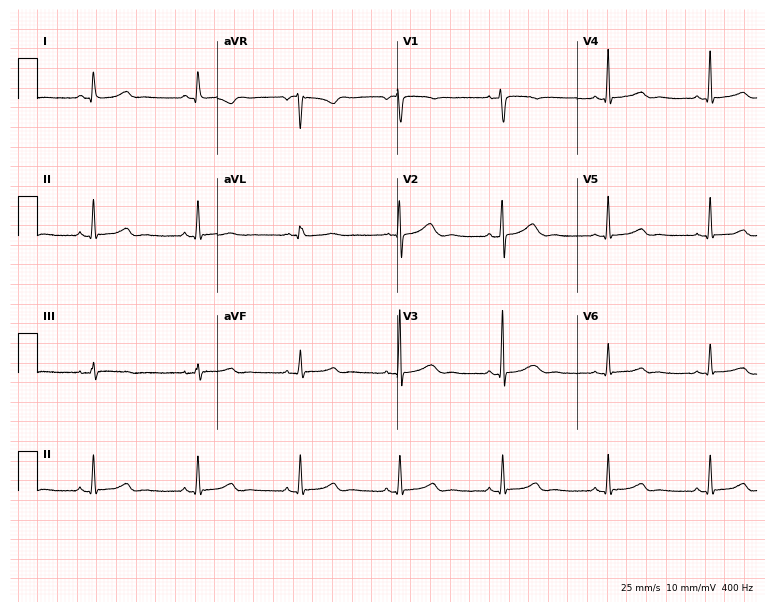
12-lead ECG from a 44-year-old woman. Recorded interpretation: within normal limits.